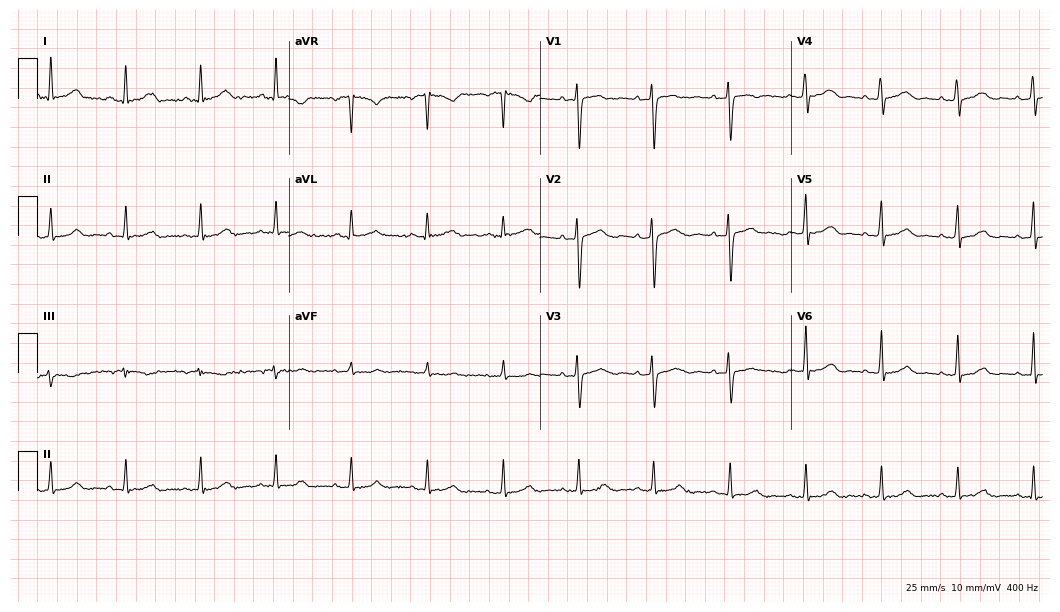
Standard 12-lead ECG recorded from a 37-year-old woman. None of these six findings is recorded: first-degree AV block, right bundle branch block, left bundle branch block, sinus bradycardia, atrial fibrillation, sinus tachycardia. Only these six findings were labelled.